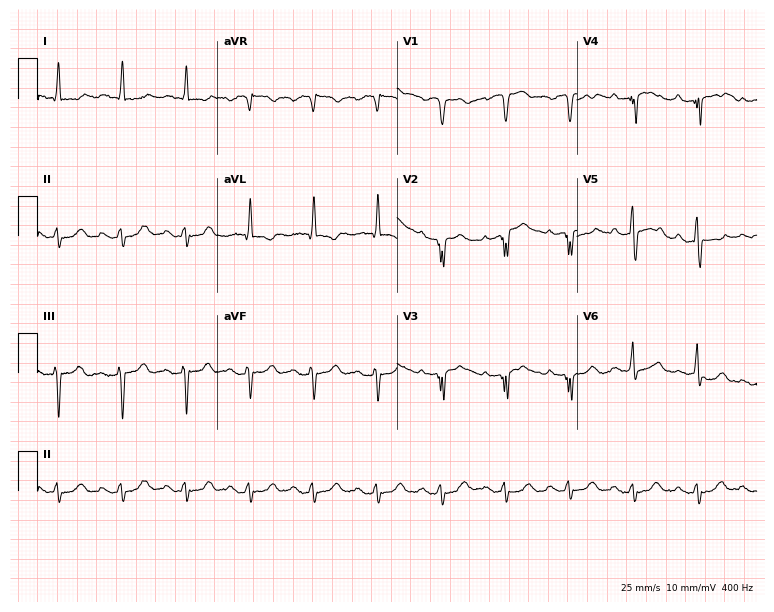
12-lead ECG from an 82-year-old male patient. No first-degree AV block, right bundle branch block (RBBB), left bundle branch block (LBBB), sinus bradycardia, atrial fibrillation (AF) or sinus tachycardia recorded for this tracing. Other findings, if any, are not listed.